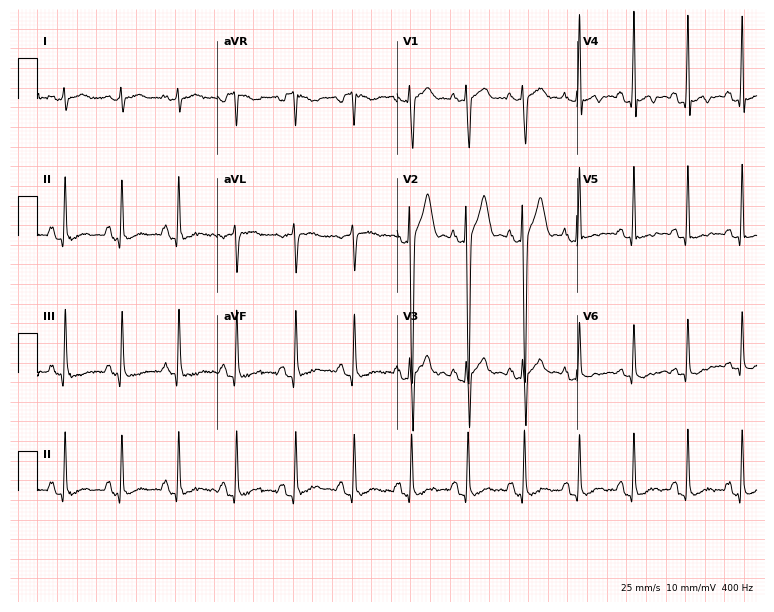
Resting 12-lead electrocardiogram. Patient: a 24-year-old male. None of these six findings is recorded: first-degree AV block, right bundle branch block (RBBB), left bundle branch block (LBBB), sinus bradycardia, atrial fibrillation (AF), sinus tachycardia.